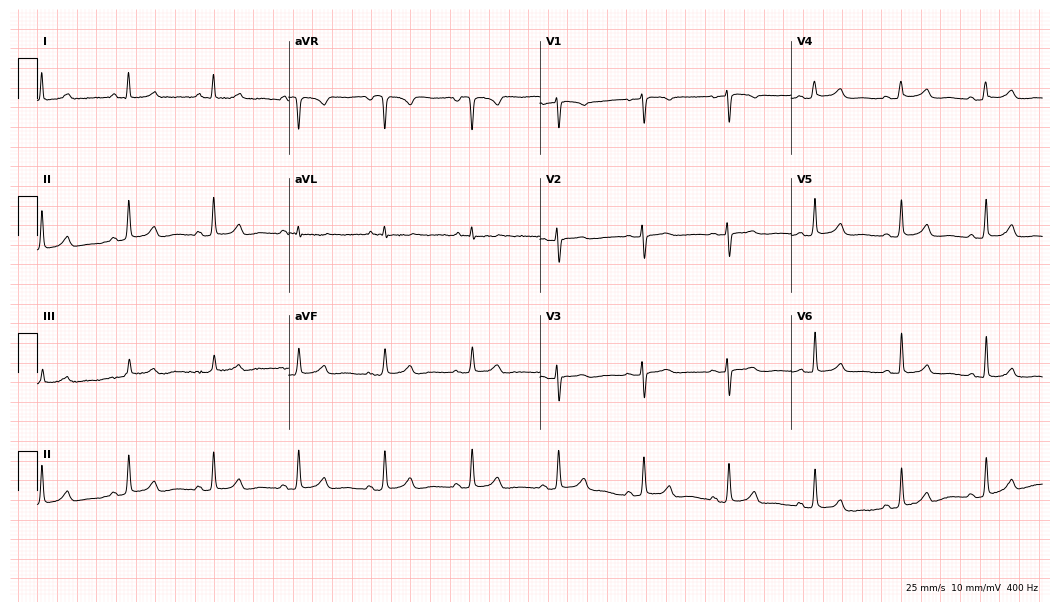
12-lead ECG (10.2-second recording at 400 Hz) from a female patient, 53 years old. Labelled as a normal ECG.